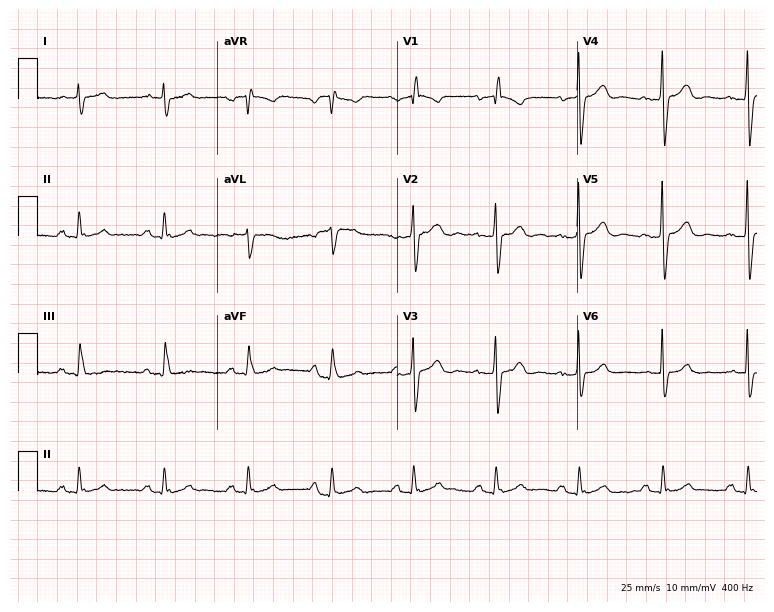
Electrocardiogram (7.3-second recording at 400 Hz), a 75-year-old male. Overall reading on record: normal ECG.